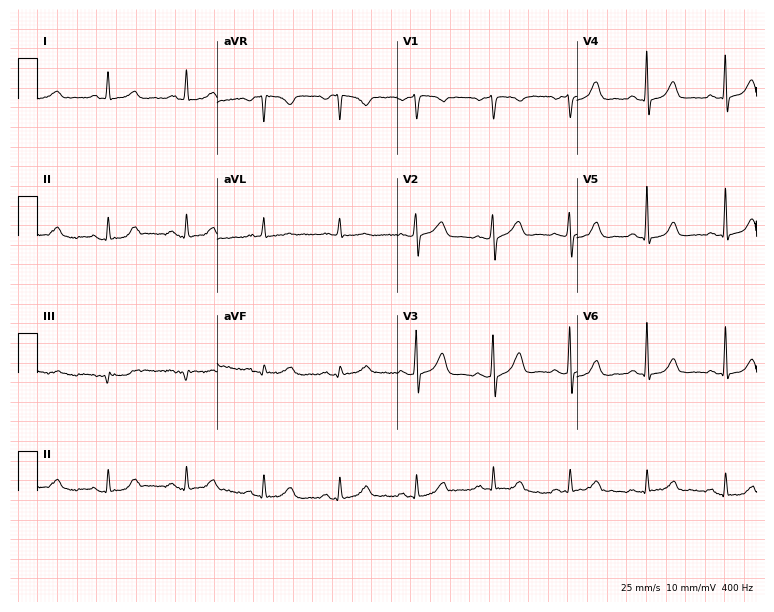
Standard 12-lead ECG recorded from a woman, 66 years old. None of these six findings is recorded: first-degree AV block, right bundle branch block (RBBB), left bundle branch block (LBBB), sinus bradycardia, atrial fibrillation (AF), sinus tachycardia.